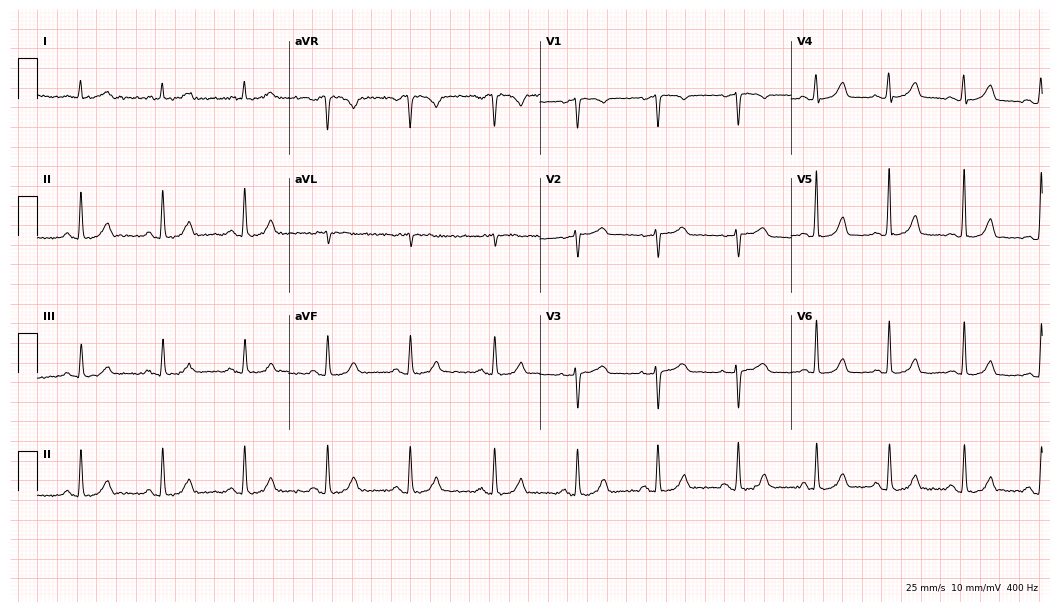
Resting 12-lead electrocardiogram. Patient: a 64-year-old female. Read as a normal ECG.